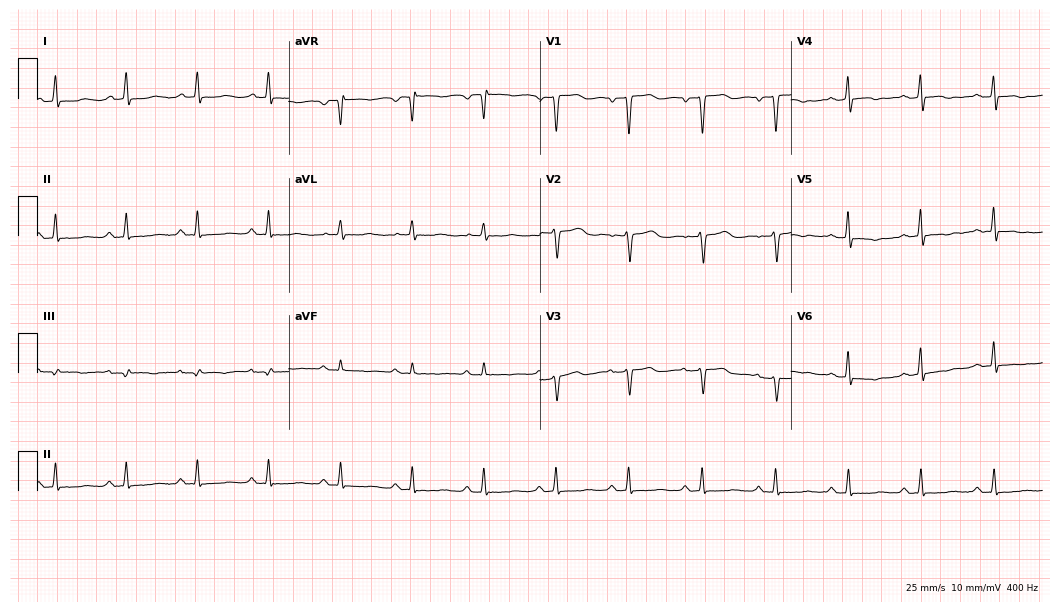
12-lead ECG from a female, 67 years old. No first-degree AV block, right bundle branch block (RBBB), left bundle branch block (LBBB), sinus bradycardia, atrial fibrillation (AF) or sinus tachycardia recorded for this tracing. Other findings, if any, are not listed.